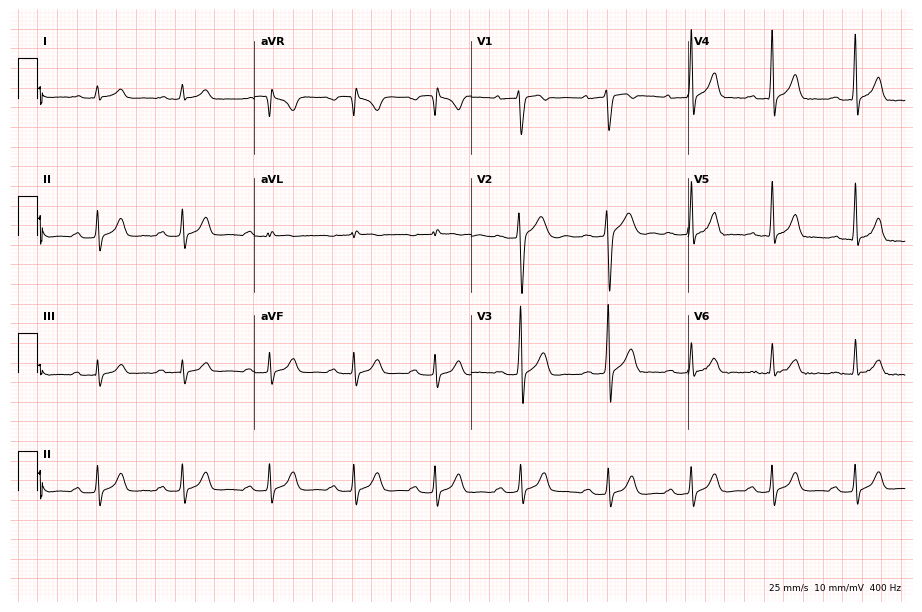
12-lead ECG from a 24-year-old male (8.8-second recording at 400 Hz). Shows first-degree AV block.